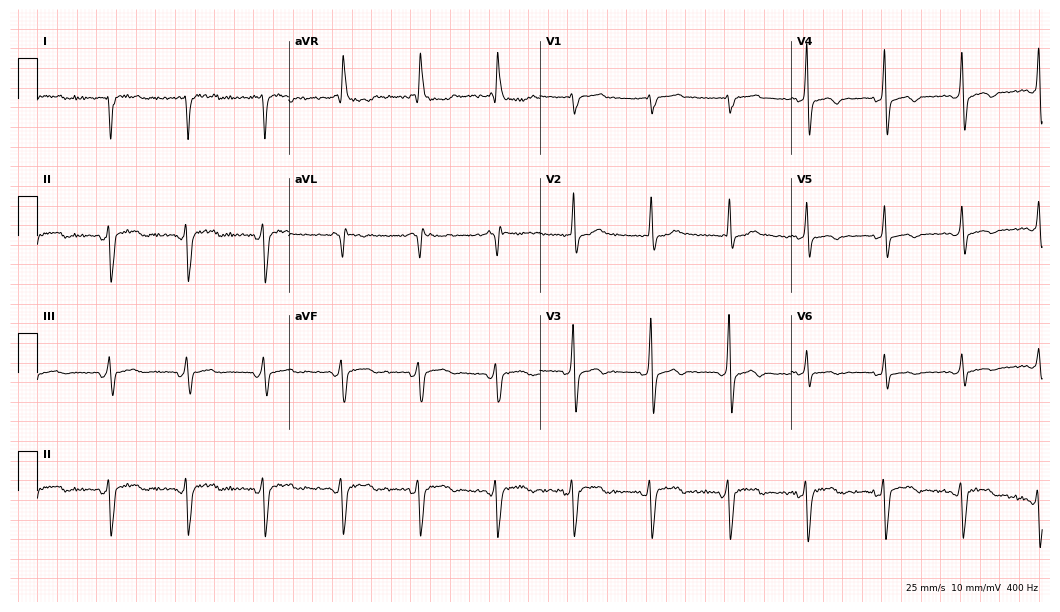
Electrocardiogram (10.2-second recording at 400 Hz), an 84-year-old male. Of the six screened findings (first-degree AV block, right bundle branch block, left bundle branch block, sinus bradycardia, atrial fibrillation, sinus tachycardia), none is recorded.